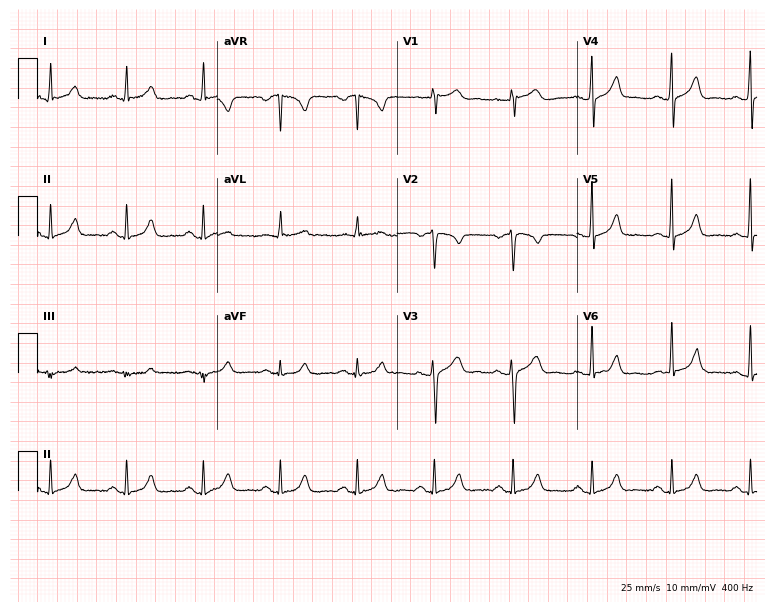
Electrocardiogram (7.3-second recording at 400 Hz), a 52-year-old man. Overall reading on record: normal ECG.